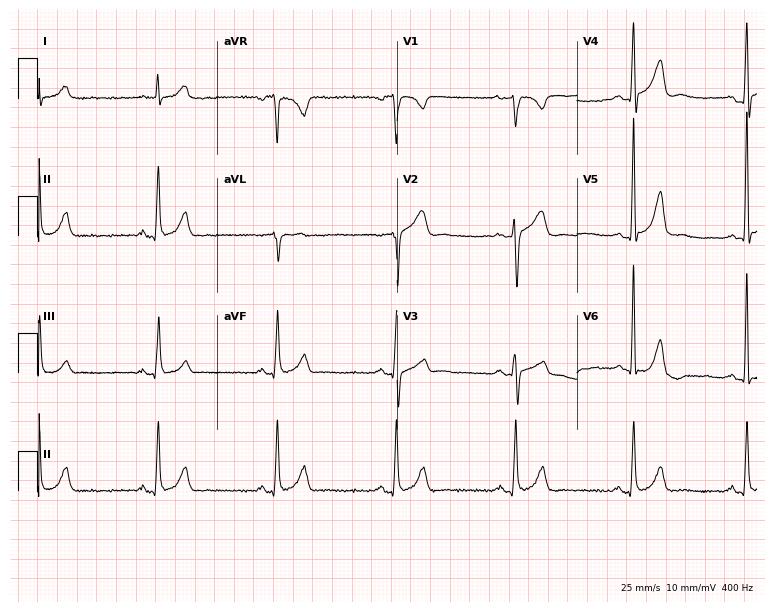
Standard 12-lead ECG recorded from a 57-year-old male. None of these six findings is recorded: first-degree AV block, right bundle branch block (RBBB), left bundle branch block (LBBB), sinus bradycardia, atrial fibrillation (AF), sinus tachycardia.